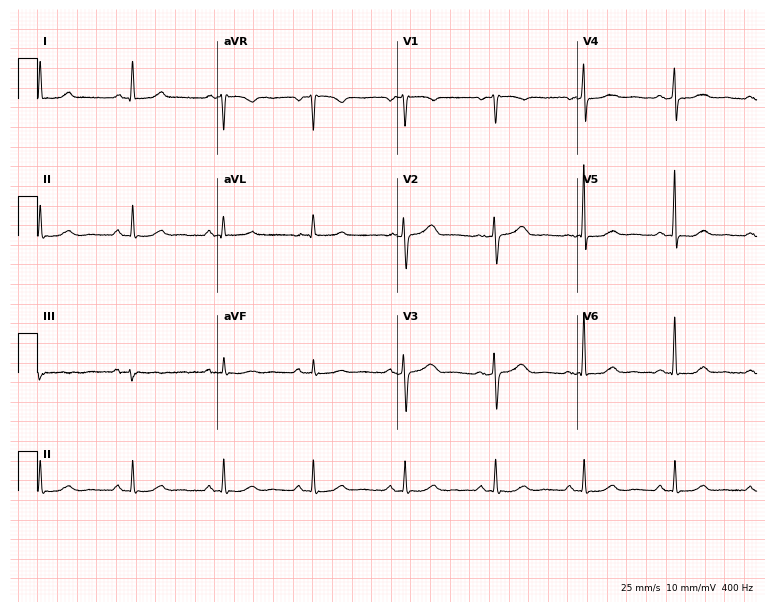
Standard 12-lead ECG recorded from a 61-year-old female patient. Read as a normal ECG.